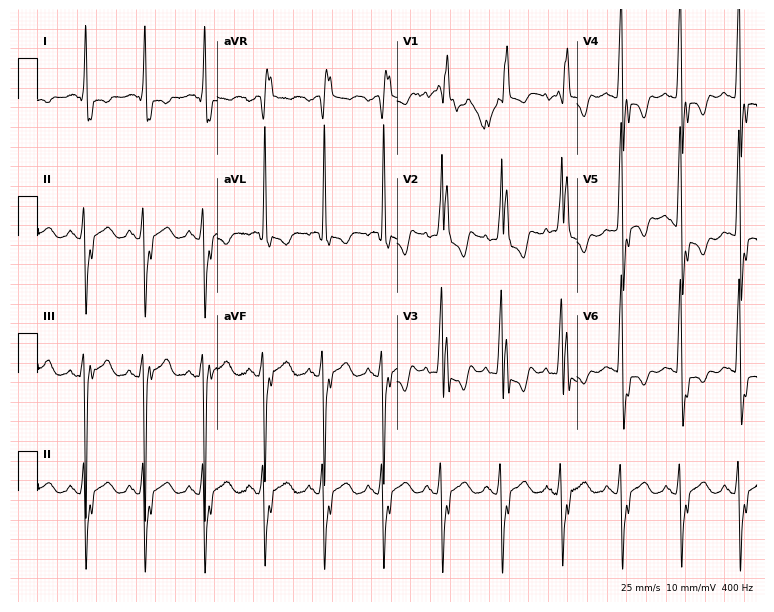
ECG (7.3-second recording at 400 Hz) — a female patient, 79 years old. Findings include right bundle branch block.